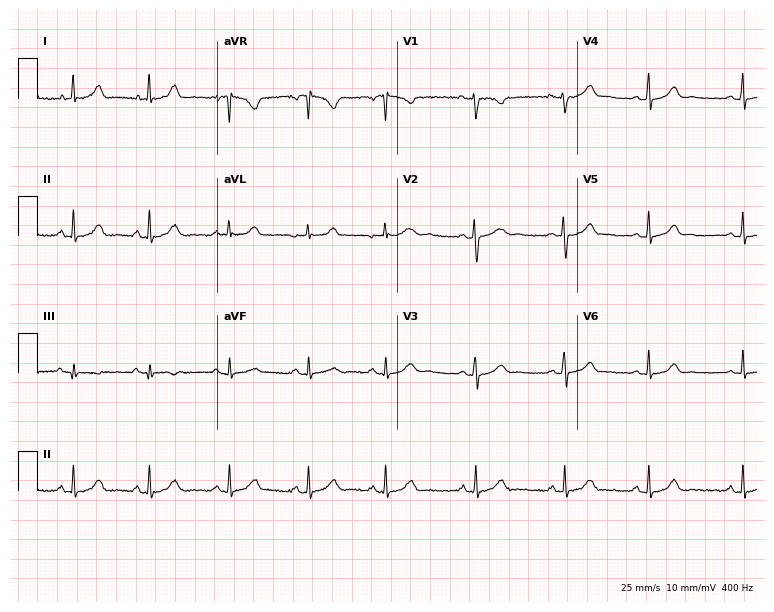
Standard 12-lead ECG recorded from a 21-year-old female patient (7.3-second recording at 400 Hz). None of these six findings is recorded: first-degree AV block, right bundle branch block, left bundle branch block, sinus bradycardia, atrial fibrillation, sinus tachycardia. Only these six findings were labelled.